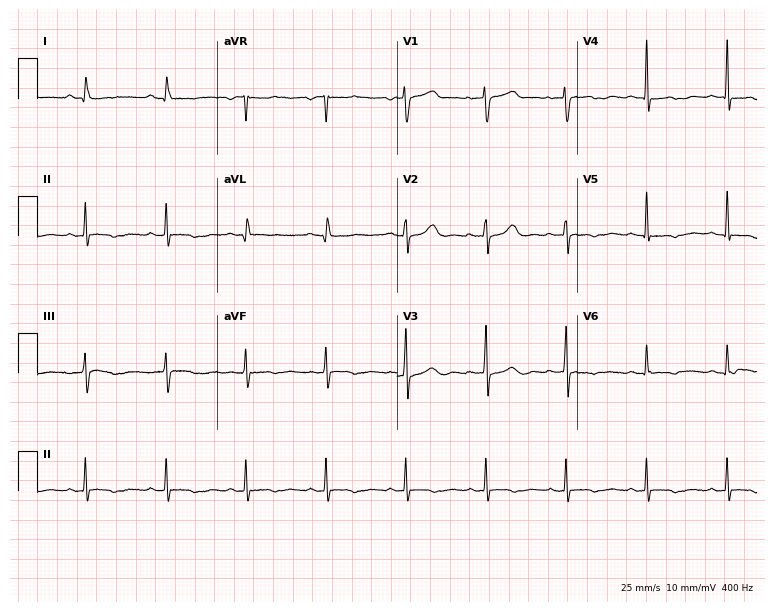
Electrocardiogram, a 73-year-old female. Of the six screened findings (first-degree AV block, right bundle branch block, left bundle branch block, sinus bradycardia, atrial fibrillation, sinus tachycardia), none is recorded.